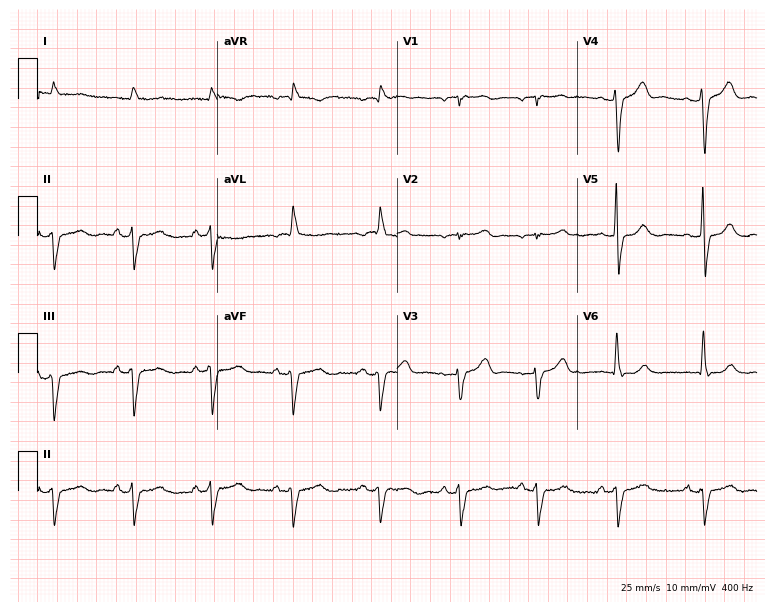
Resting 12-lead electrocardiogram (7.3-second recording at 400 Hz). Patient: a man, 85 years old. None of these six findings is recorded: first-degree AV block, right bundle branch block, left bundle branch block, sinus bradycardia, atrial fibrillation, sinus tachycardia. Findings outside these six are not listed.